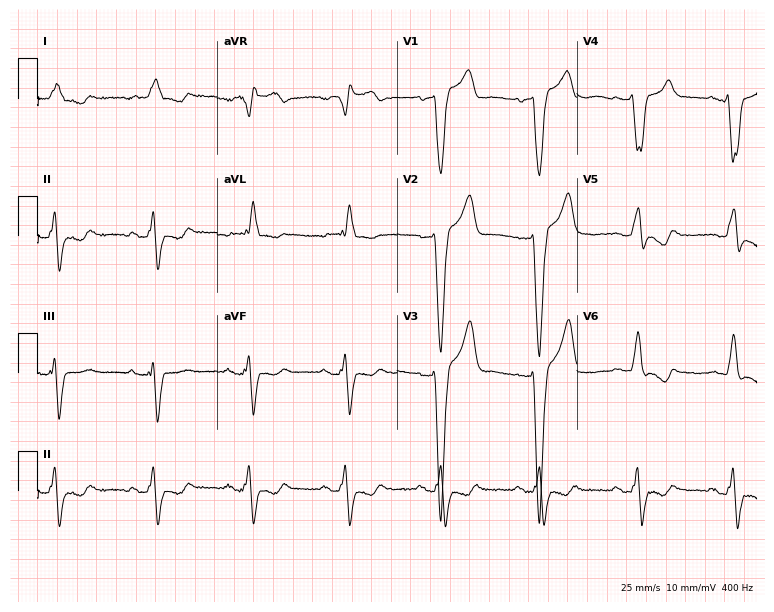
12-lead ECG from a 71-year-old man. Shows left bundle branch block (LBBB).